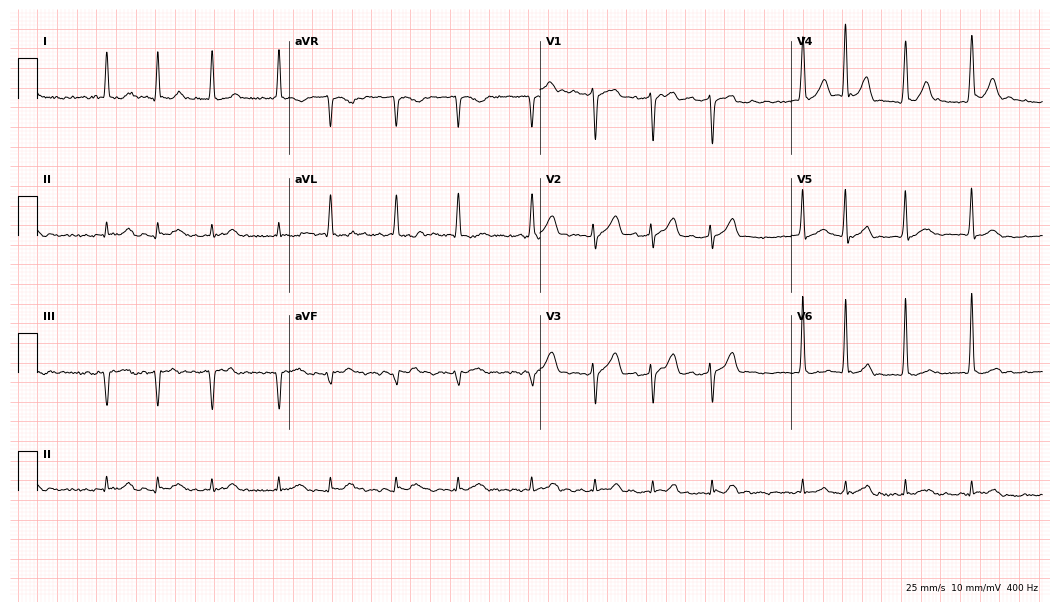
Resting 12-lead electrocardiogram. Patient: a male, 57 years old. None of these six findings is recorded: first-degree AV block, right bundle branch block, left bundle branch block, sinus bradycardia, atrial fibrillation, sinus tachycardia. Only these six findings were labelled.